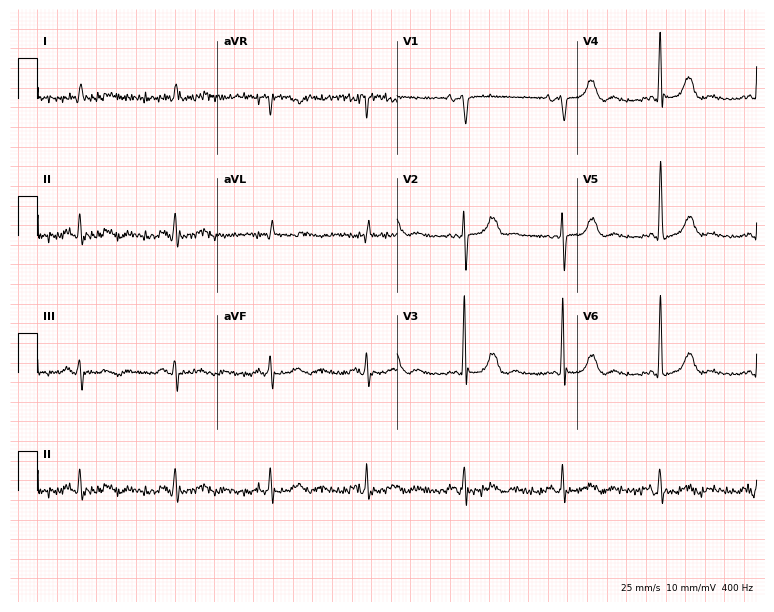
Electrocardiogram (7.3-second recording at 400 Hz), a female patient, 70 years old. Of the six screened findings (first-degree AV block, right bundle branch block (RBBB), left bundle branch block (LBBB), sinus bradycardia, atrial fibrillation (AF), sinus tachycardia), none is recorded. Findings outside these six are not listed.